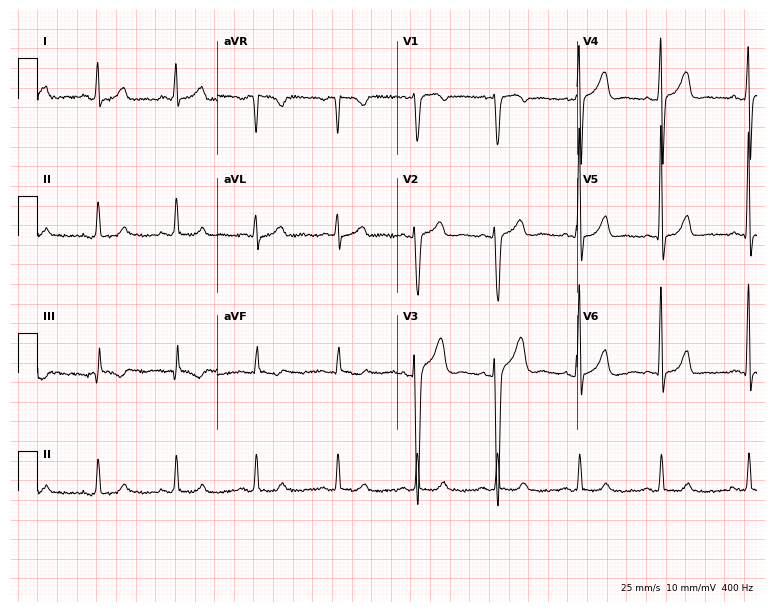
ECG (7.3-second recording at 400 Hz) — a male patient, 29 years old. Labelled as a normal ECG.